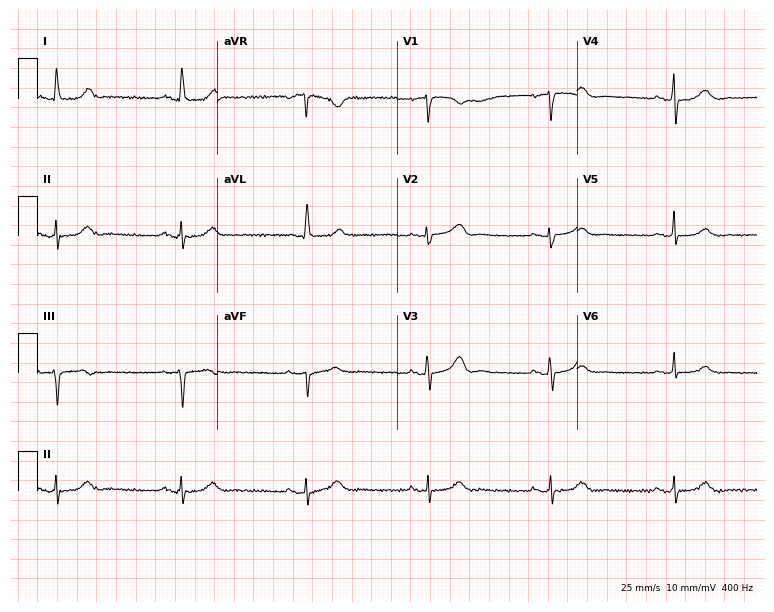
ECG — a 71-year-old female patient. Findings include sinus bradycardia (a sinus rate of 50 beats per minute or less).